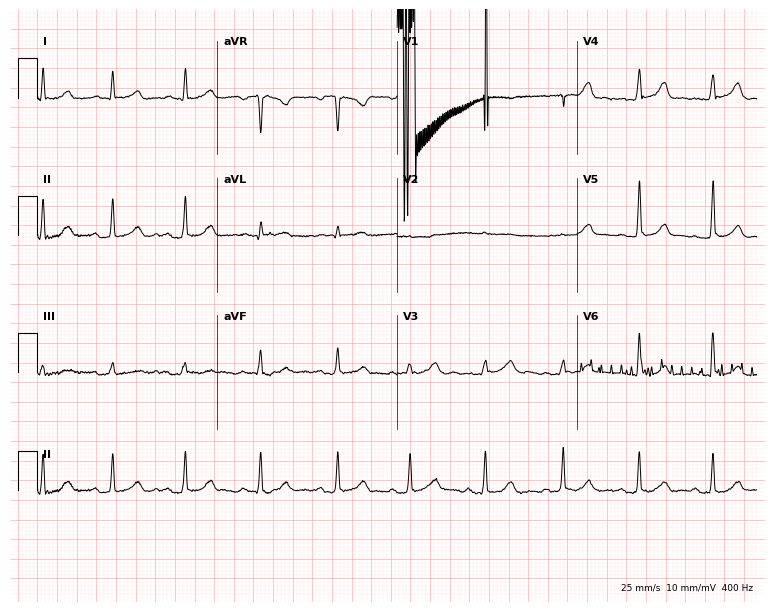
12-lead ECG from a 38-year-old woman. Screened for six findings — first-degree AV block, right bundle branch block (RBBB), left bundle branch block (LBBB), sinus bradycardia, atrial fibrillation (AF), sinus tachycardia — none is recorded. Findings outside these six are not listed.